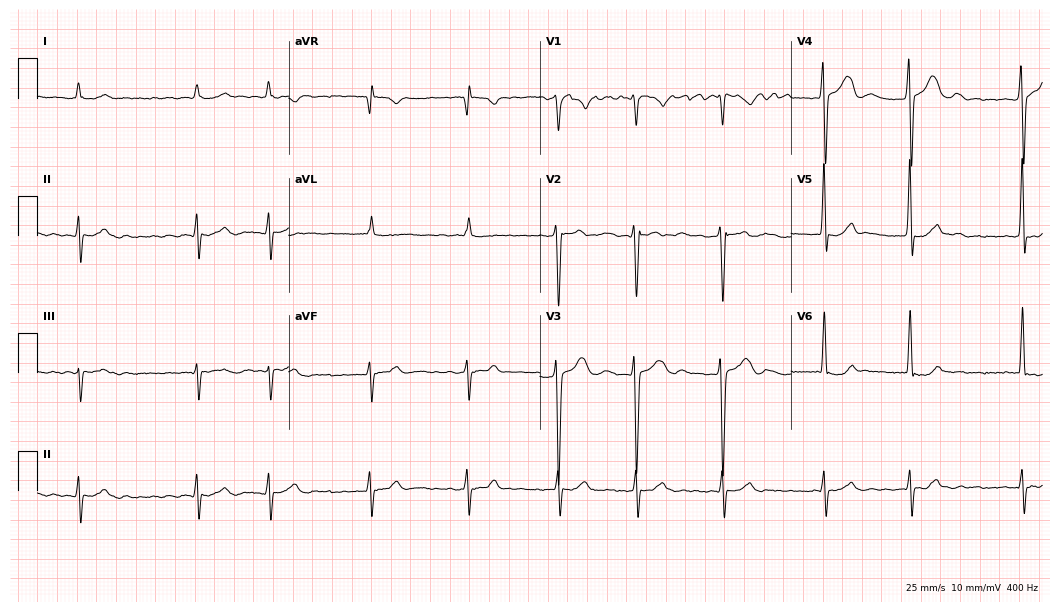
Standard 12-lead ECG recorded from a 50-year-old male patient. The tracing shows atrial fibrillation.